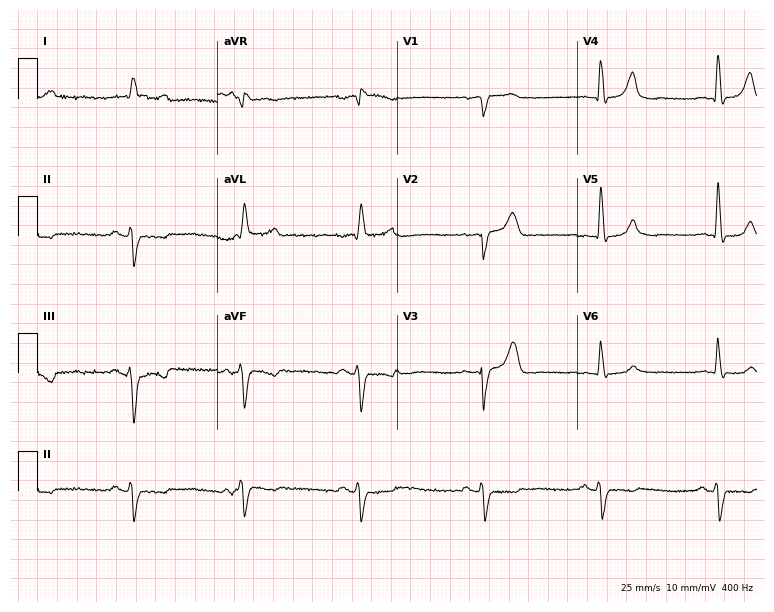
12-lead ECG from a male, 73 years old. No first-degree AV block, right bundle branch block (RBBB), left bundle branch block (LBBB), sinus bradycardia, atrial fibrillation (AF) or sinus tachycardia recorded for this tracing. Other findings, if any, are not listed.